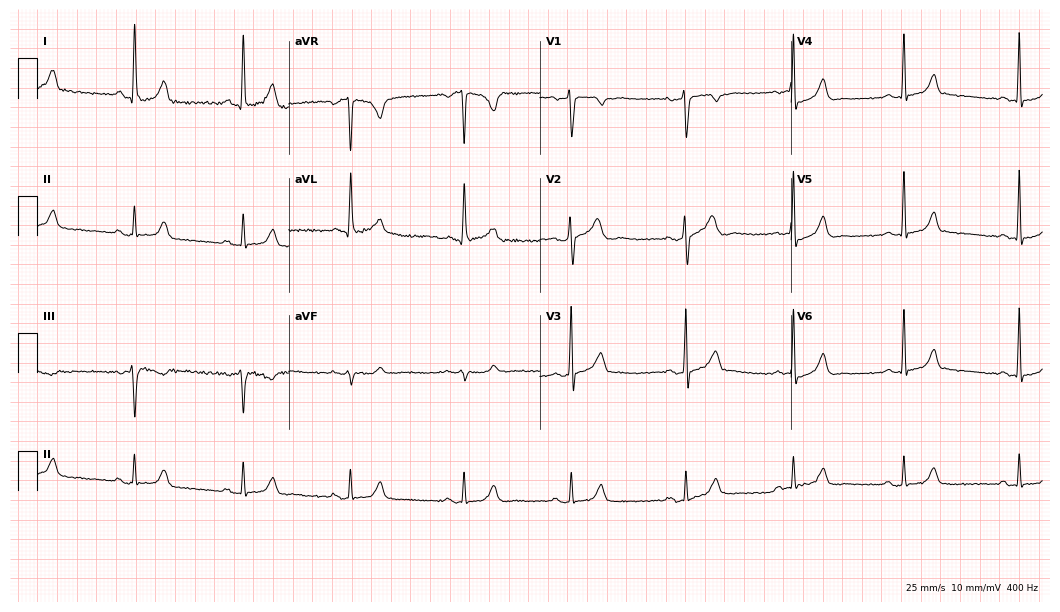
12-lead ECG from a female, 34 years old. Recorded interpretation: within normal limits.